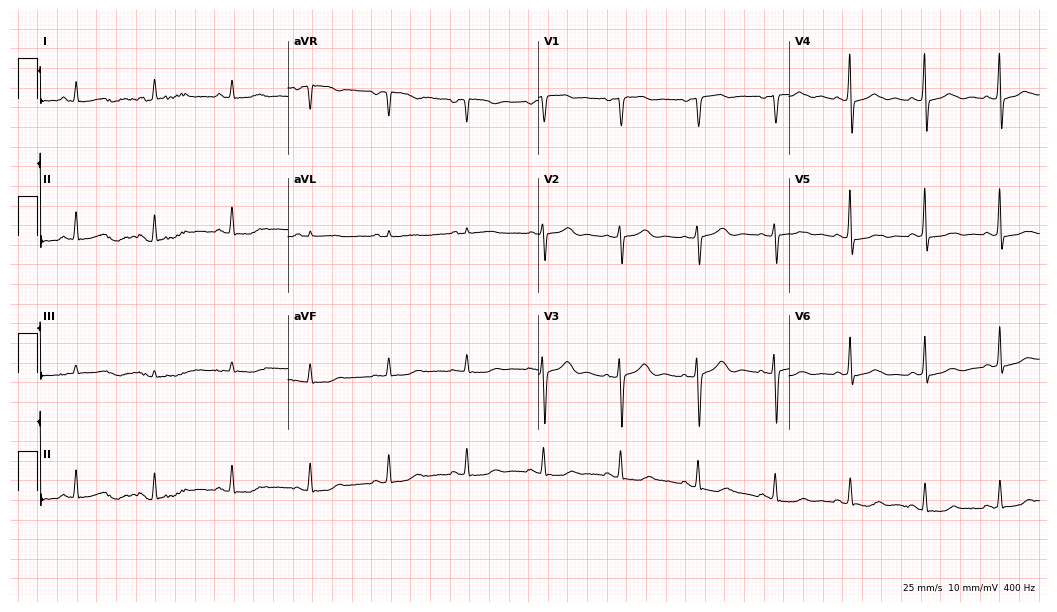
ECG — a 58-year-old woman. Screened for six findings — first-degree AV block, right bundle branch block, left bundle branch block, sinus bradycardia, atrial fibrillation, sinus tachycardia — none is recorded.